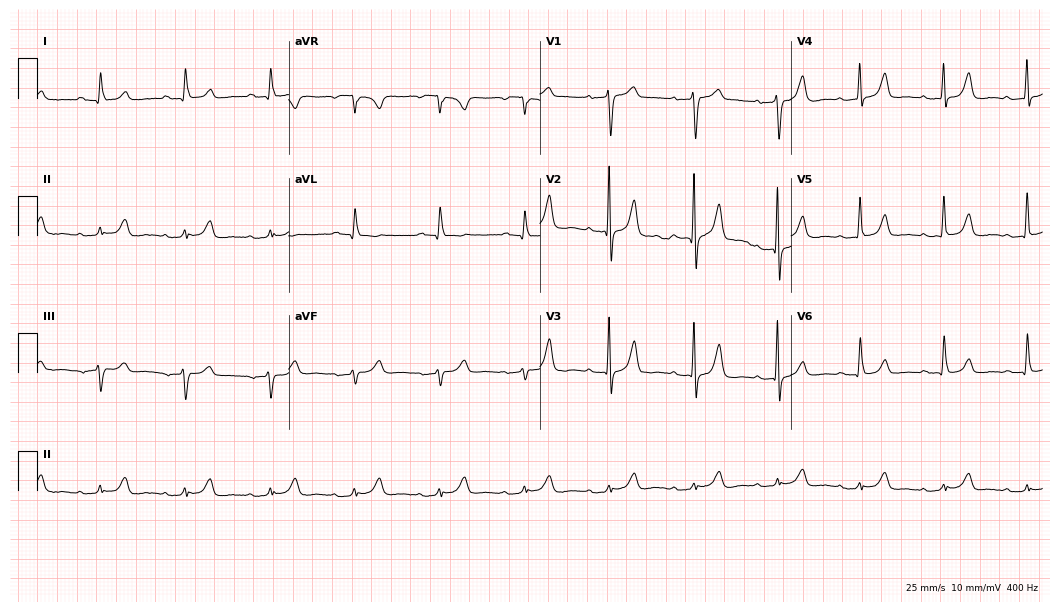
12-lead ECG from a man, 81 years old. No first-degree AV block, right bundle branch block, left bundle branch block, sinus bradycardia, atrial fibrillation or sinus tachycardia recorded for this tracing. Findings outside these six are not listed.